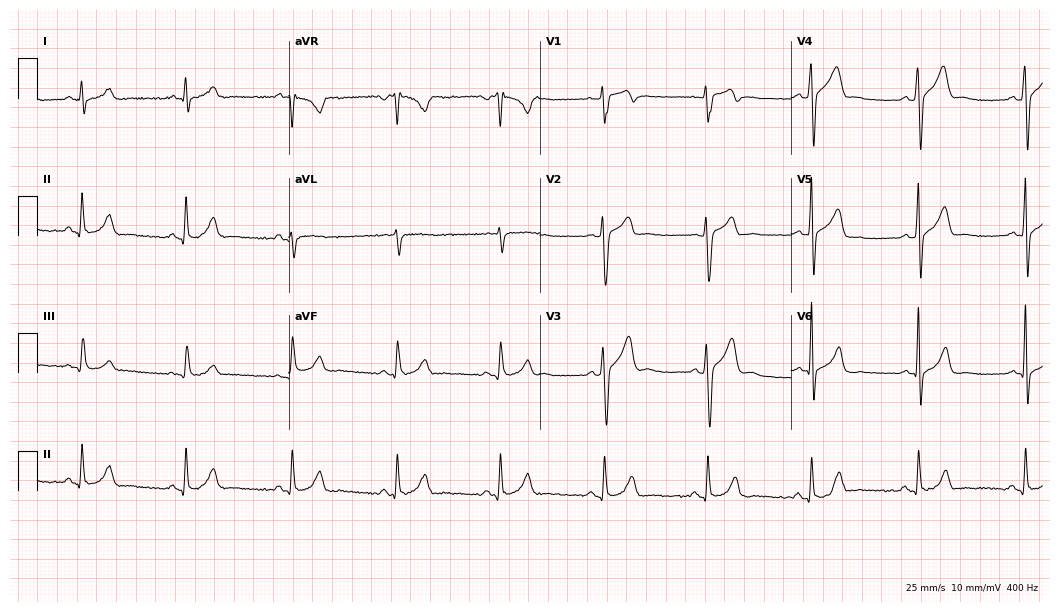
Standard 12-lead ECG recorded from a man, 43 years old. Read as a normal ECG.